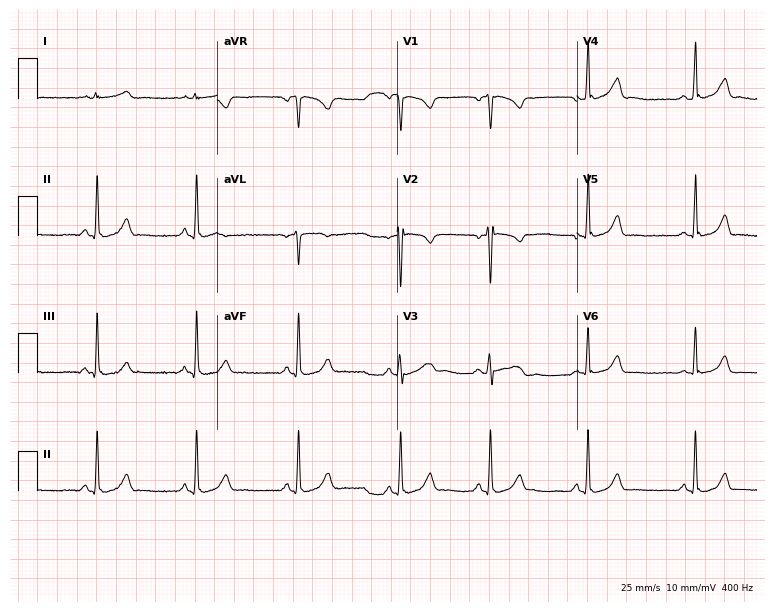
12-lead ECG from a 25-year-old female patient. No first-degree AV block, right bundle branch block, left bundle branch block, sinus bradycardia, atrial fibrillation or sinus tachycardia recorded for this tracing.